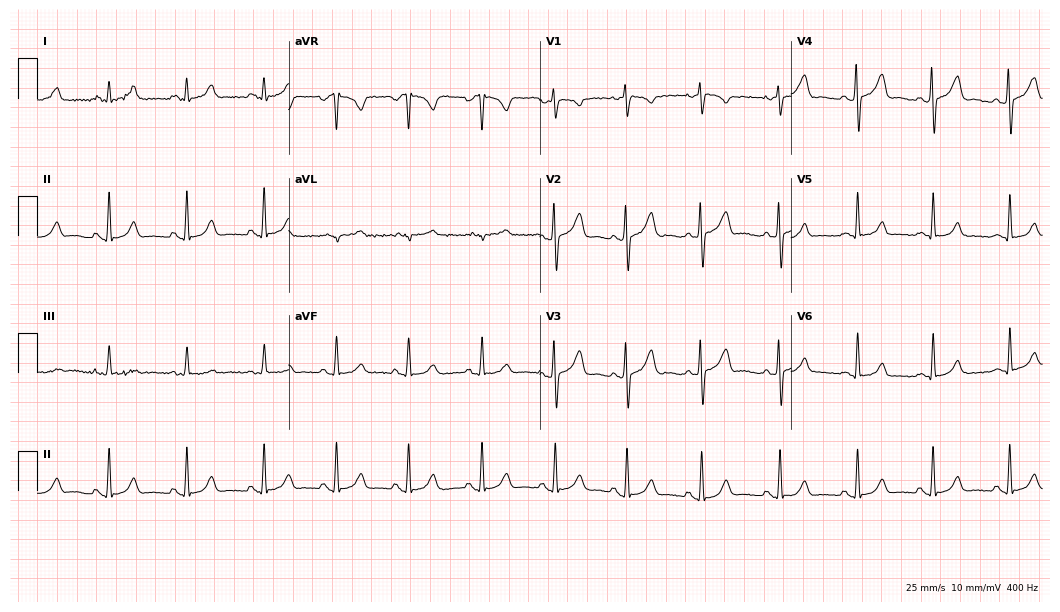
12-lead ECG from a female patient, 25 years old. Recorded interpretation: within normal limits.